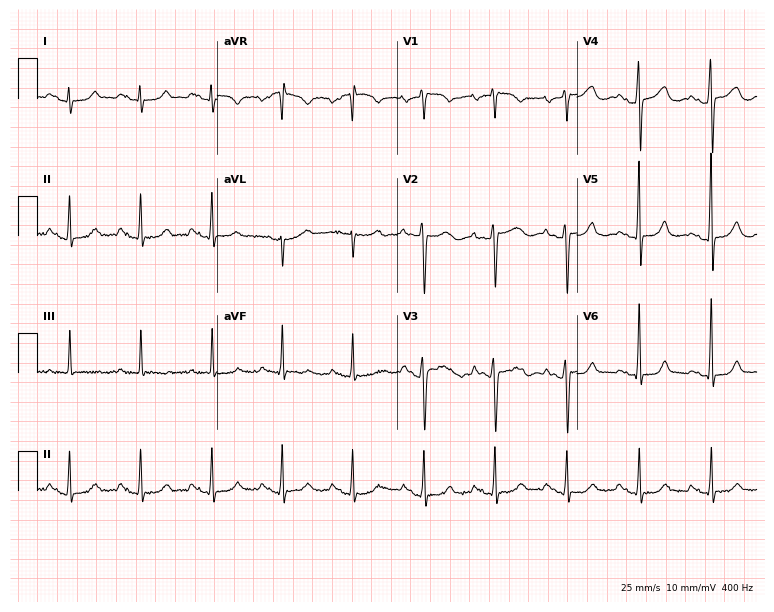
Standard 12-lead ECG recorded from a 47-year-old female (7.3-second recording at 400 Hz). None of these six findings is recorded: first-degree AV block, right bundle branch block (RBBB), left bundle branch block (LBBB), sinus bradycardia, atrial fibrillation (AF), sinus tachycardia.